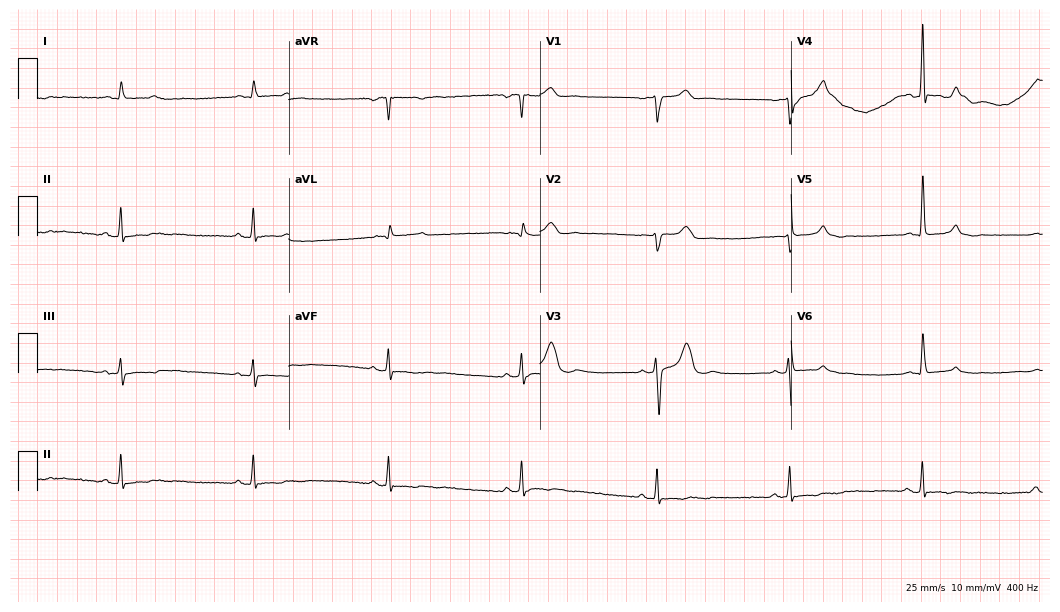
Standard 12-lead ECG recorded from a male, 68 years old. The tracing shows sinus bradycardia (a sinus rate of 50 beats per minute or less).